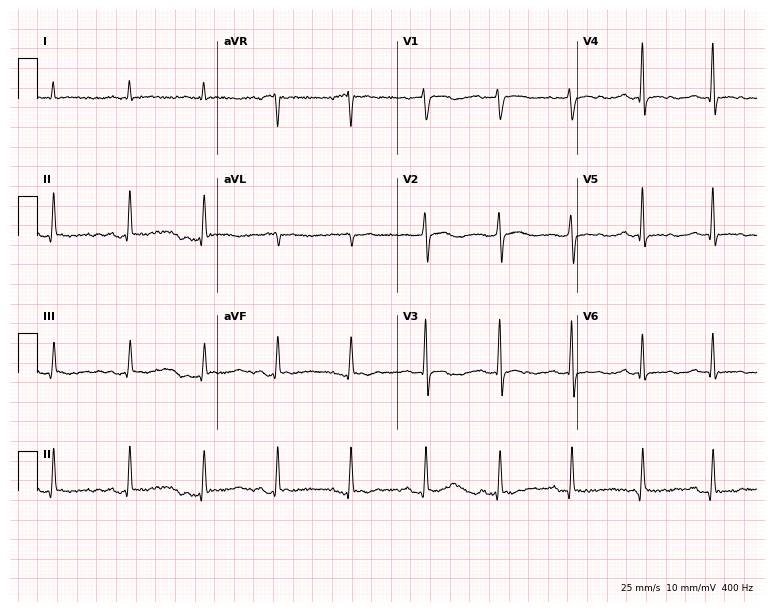
ECG (7.3-second recording at 400 Hz) — a male patient, 54 years old. Labelled as a normal ECG.